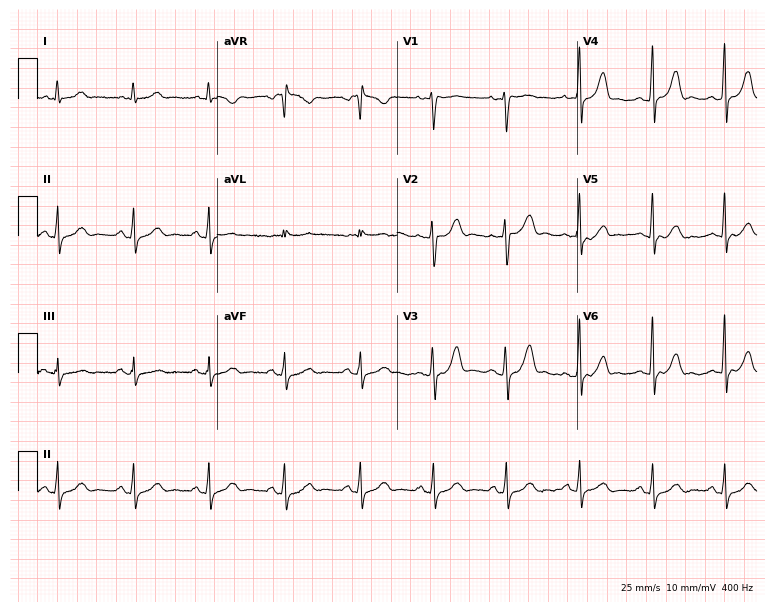
ECG — a 51-year-old female patient. Labelled as a normal ECG.